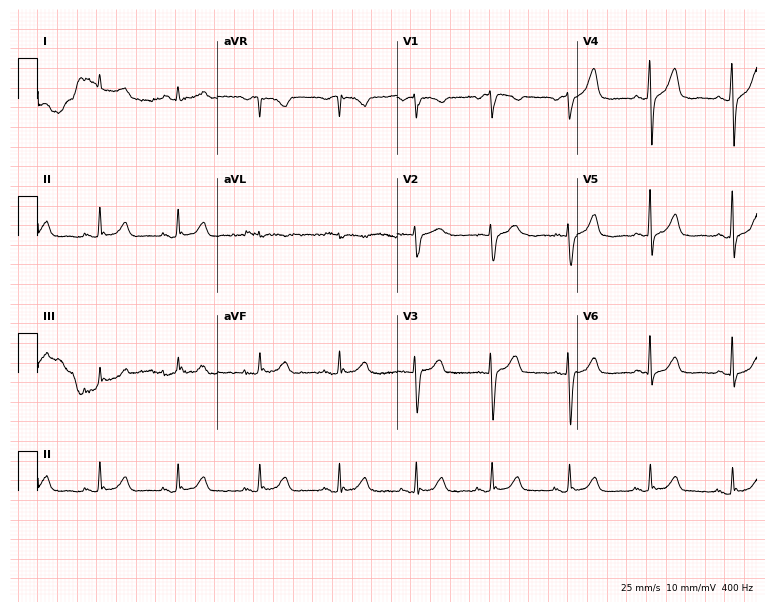
Electrocardiogram, a 67-year-old man. Overall reading on record: normal ECG.